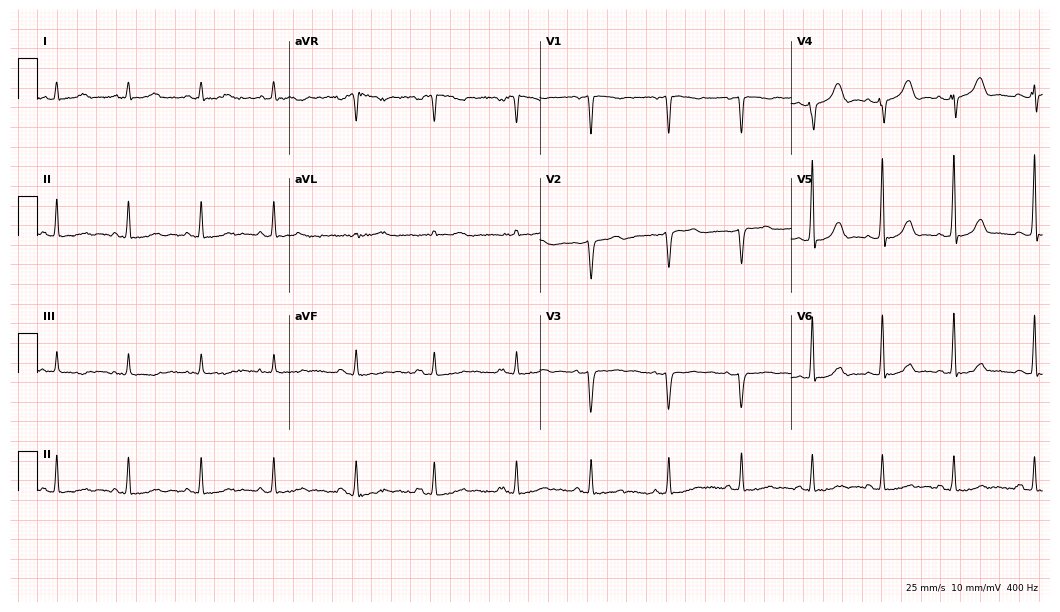
Electrocardiogram, a female patient, 30 years old. Of the six screened findings (first-degree AV block, right bundle branch block, left bundle branch block, sinus bradycardia, atrial fibrillation, sinus tachycardia), none is recorded.